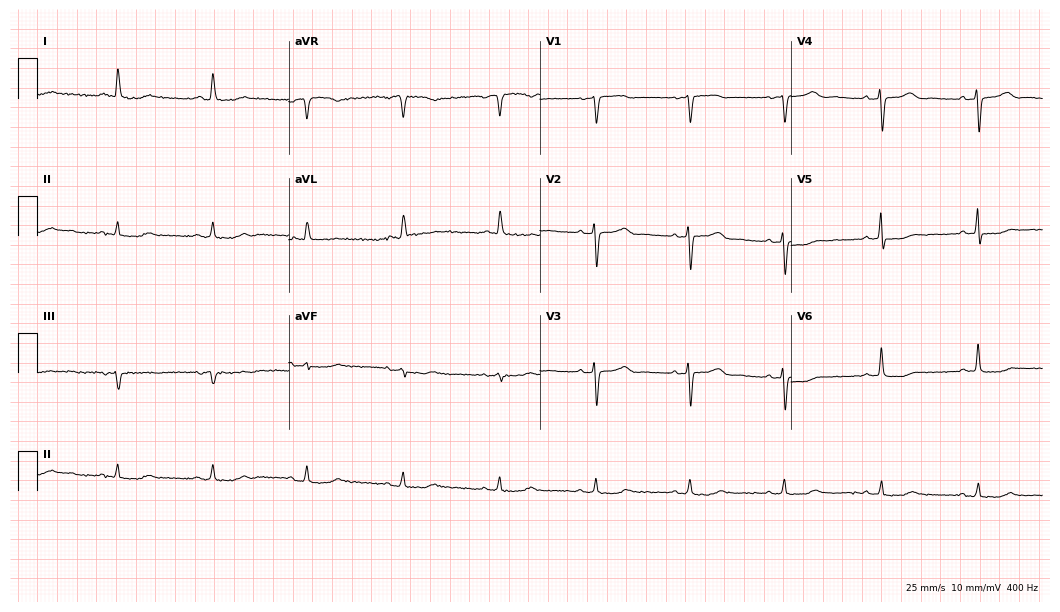
Resting 12-lead electrocardiogram. Patient: a female, 75 years old. None of these six findings is recorded: first-degree AV block, right bundle branch block, left bundle branch block, sinus bradycardia, atrial fibrillation, sinus tachycardia. Other findings, if any, are not listed.